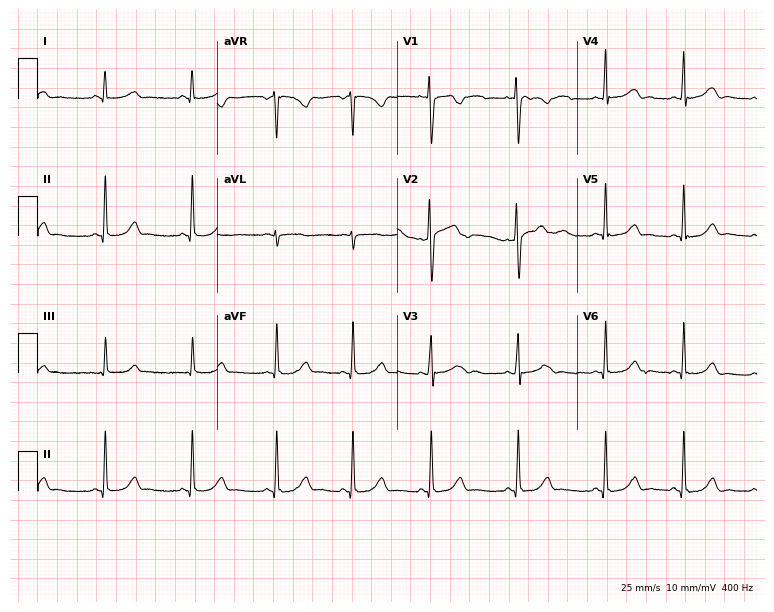
12-lead ECG from a 24-year-old female patient (7.3-second recording at 400 Hz). Recorded interpretation: within normal limits.